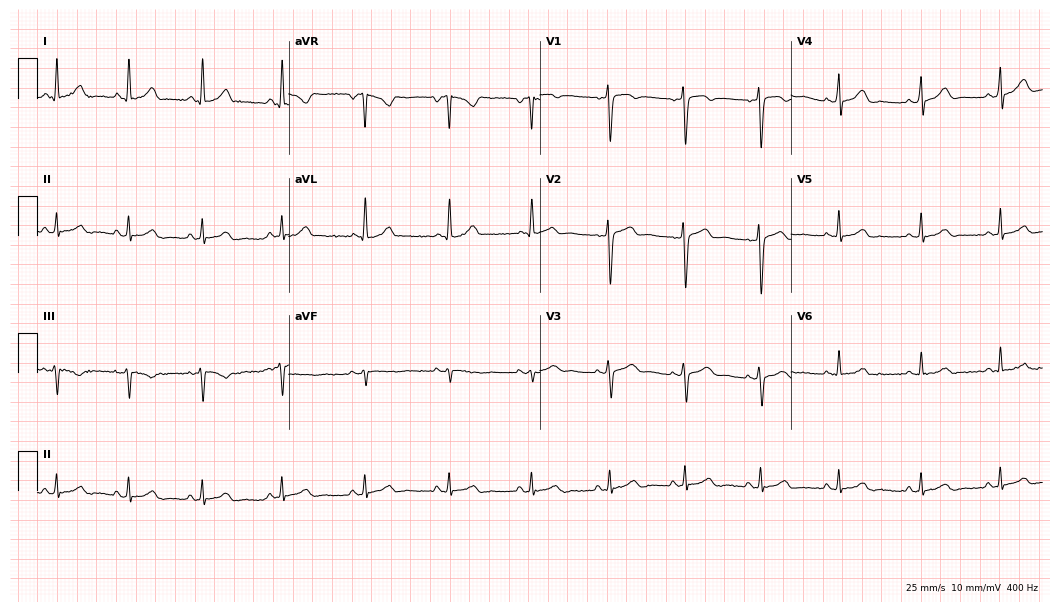
ECG — a woman, 25 years old. Labelled as a normal ECG.